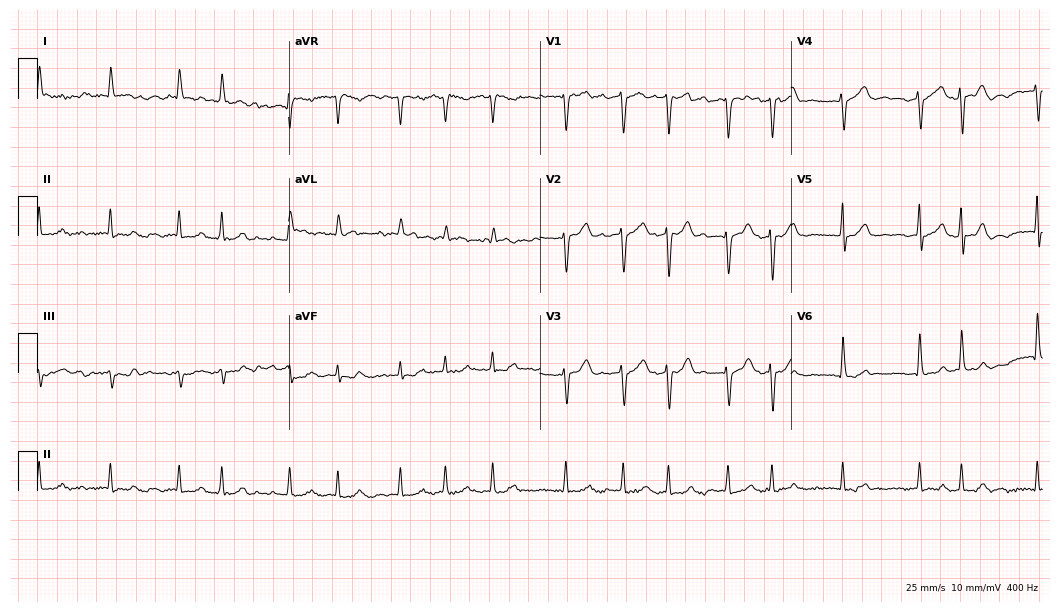
ECG (10.2-second recording at 400 Hz) — a female, 82 years old. Findings include atrial fibrillation (AF).